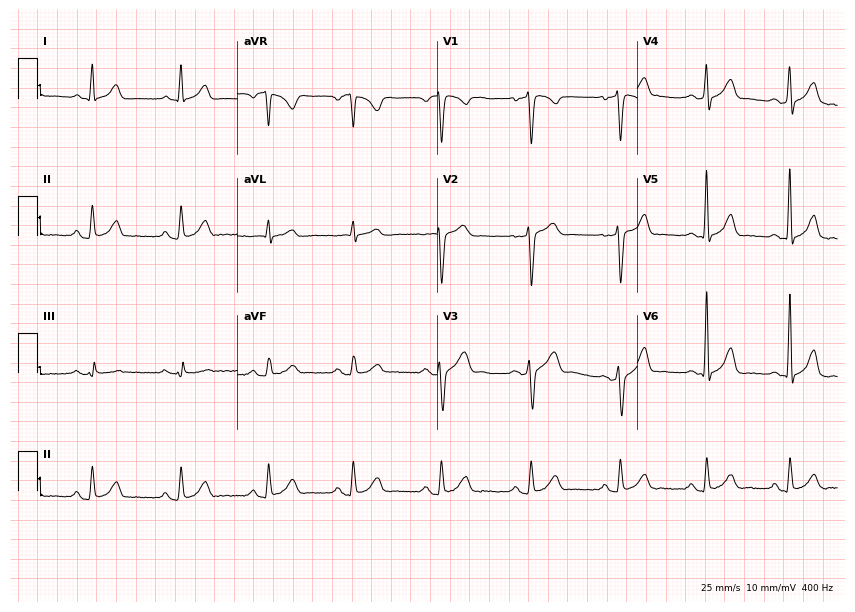
12-lead ECG from a female, 44 years old. Recorded interpretation: within normal limits.